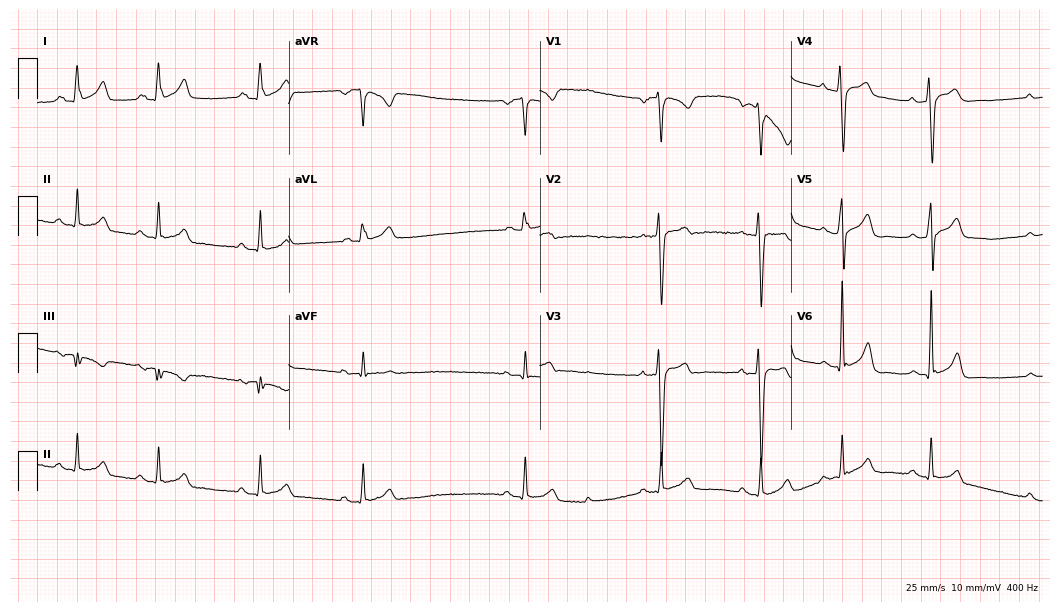
Resting 12-lead electrocardiogram. Patient: a 35-year-old male. Read as a normal ECG.